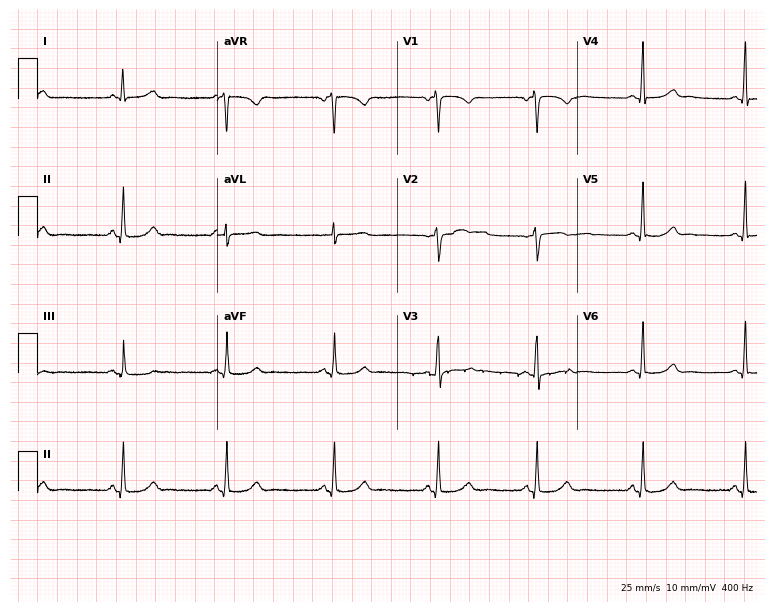
12-lead ECG from a woman, 41 years old. Recorded interpretation: within normal limits.